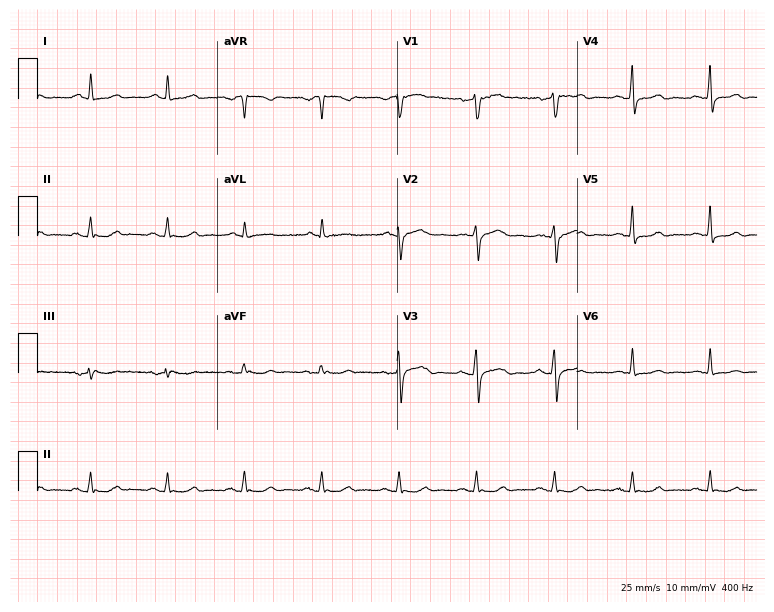
ECG — a male, 74 years old. Labelled as a normal ECG.